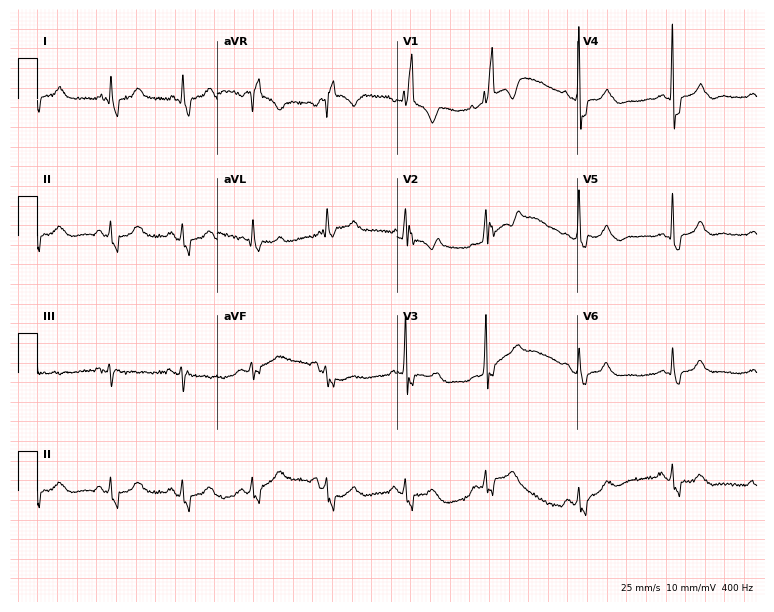
12-lead ECG from a 58-year-old female patient. No first-degree AV block, right bundle branch block (RBBB), left bundle branch block (LBBB), sinus bradycardia, atrial fibrillation (AF) or sinus tachycardia recorded for this tracing. Findings outside these six are not listed.